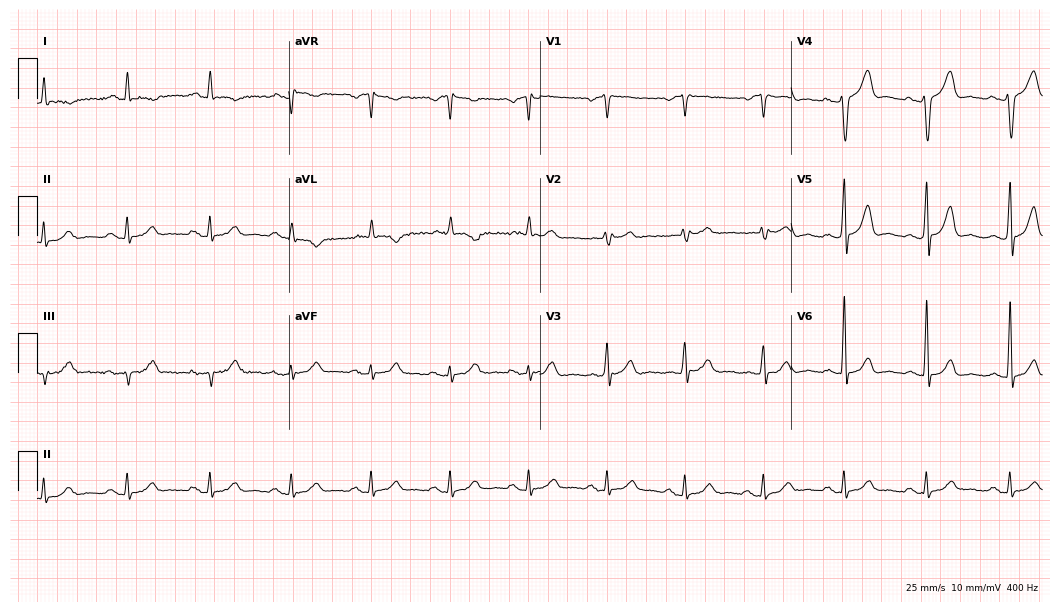
ECG (10.2-second recording at 400 Hz) — a 65-year-old male. Labelled as a normal ECG.